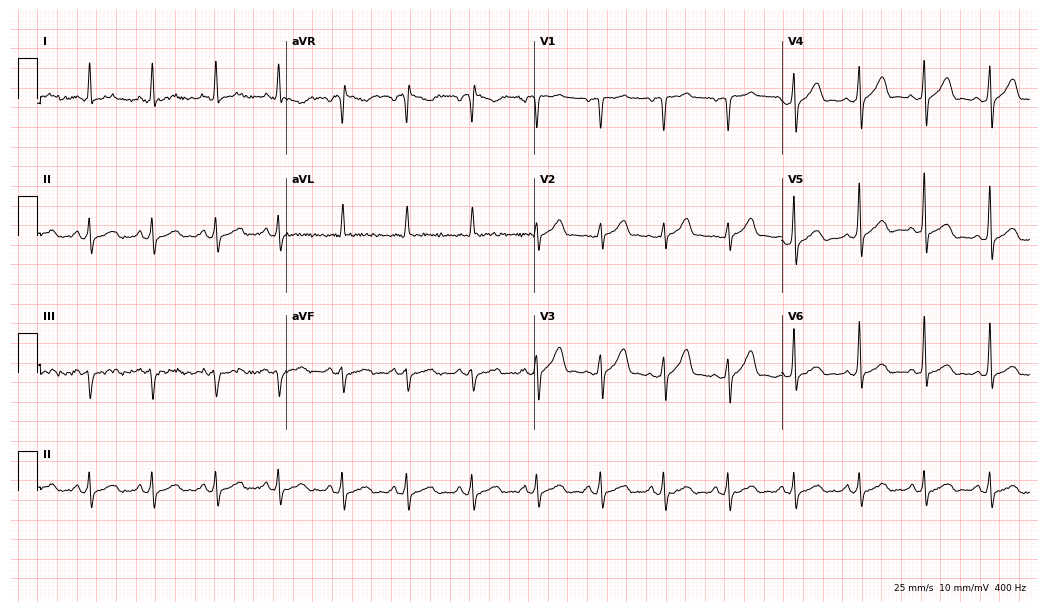
Standard 12-lead ECG recorded from a 60-year-old male patient. Read as a normal ECG.